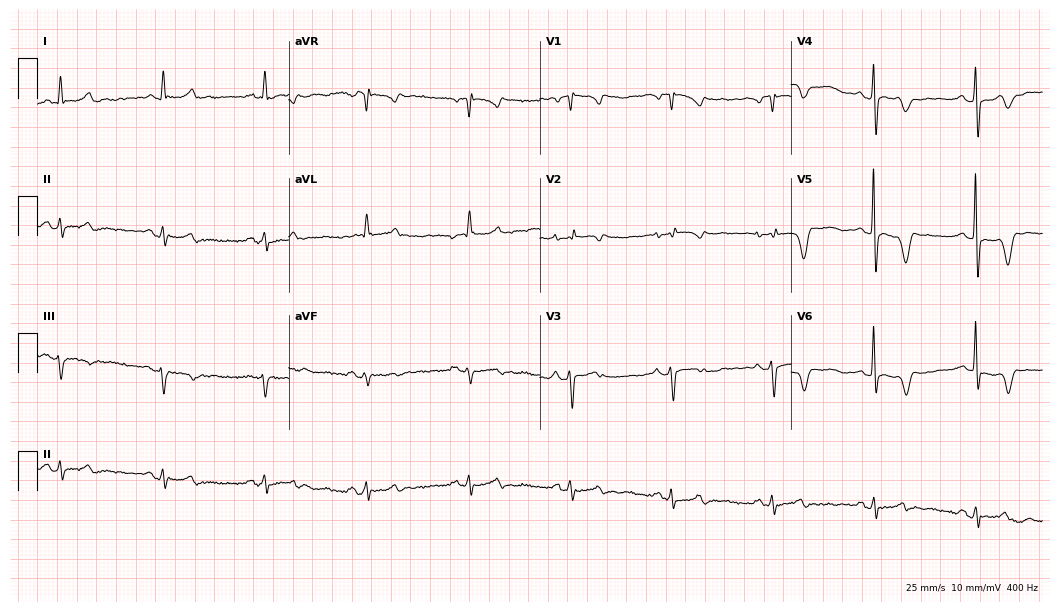
Resting 12-lead electrocardiogram (10.2-second recording at 400 Hz). Patient: a 75-year-old male. None of these six findings is recorded: first-degree AV block, right bundle branch block, left bundle branch block, sinus bradycardia, atrial fibrillation, sinus tachycardia. Findings outside these six are not listed.